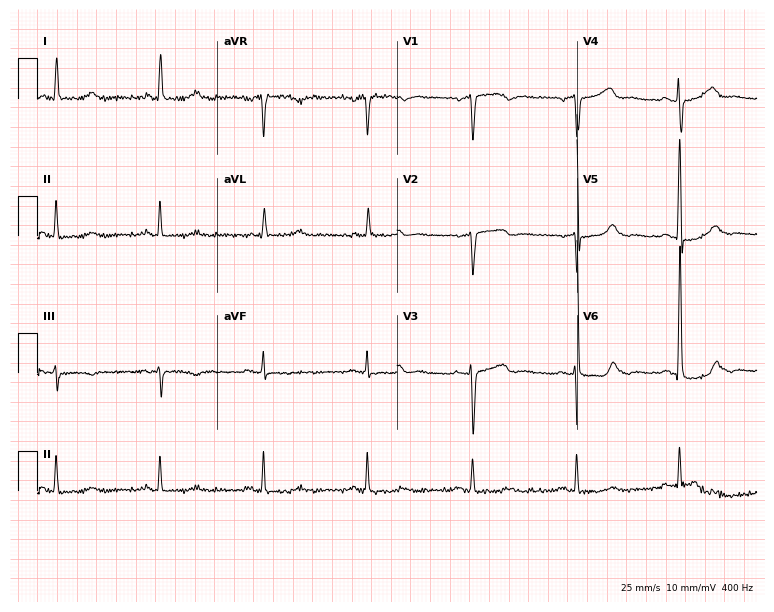
ECG (7.3-second recording at 400 Hz) — a 61-year-old female patient. Screened for six findings — first-degree AV block, right bundle branch block (RBBB), left bundle branch block (LBBB), sinus bradycardia, atrial fibrillation (AF), sinus tachycardia — none is recorded.